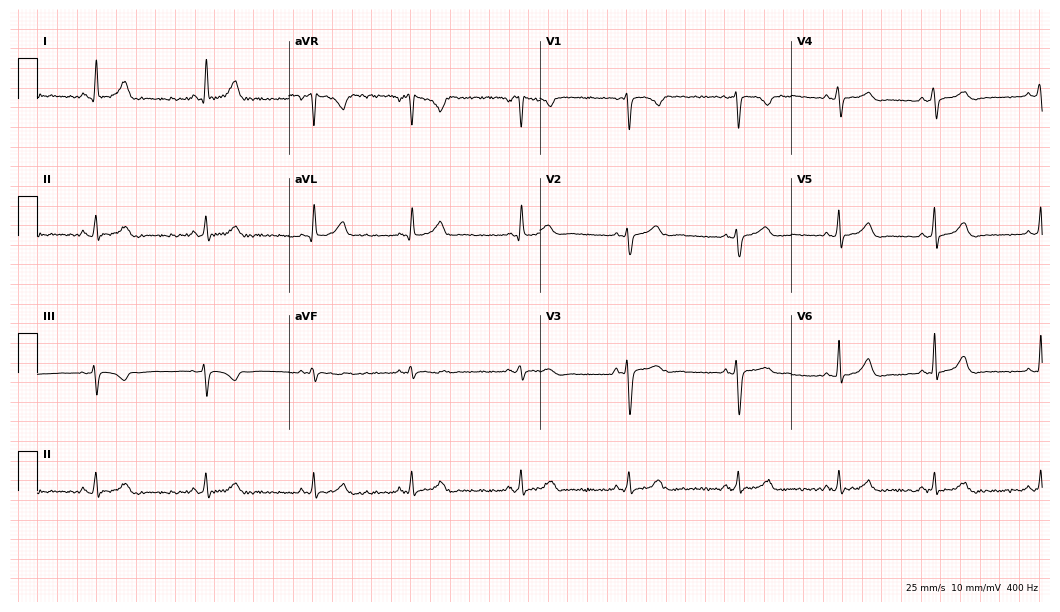
Resting 12-lead electrocardiogram (10.2-second recording at 400 Hz). Patient: a female, 40 years old. Read as a normal ECG.